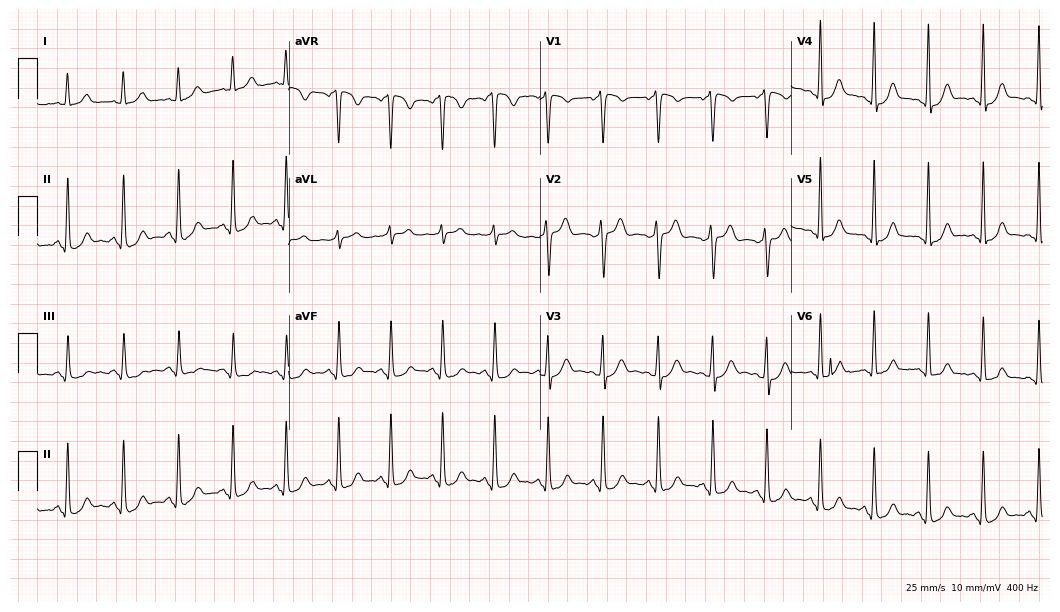
Standard 12-lead ECG recorded from a woman, 35 years old (10.2-second recording at 400 Hz). None of these six findings is recorded: first-degree AV block, right bundle branch block (RBBB), left bundle branch block (LBBB), sinus bradycardia, atrial fibrillation (AF), sinus tachycardia. Findings outside these six are not listed.